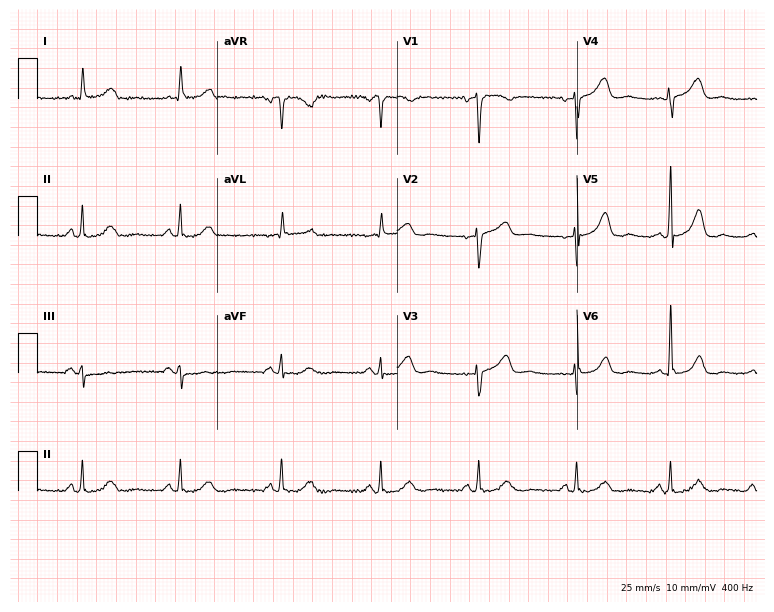
Electrocardiogram, a female, 59 years old. Overall reading on record: normal ECG.